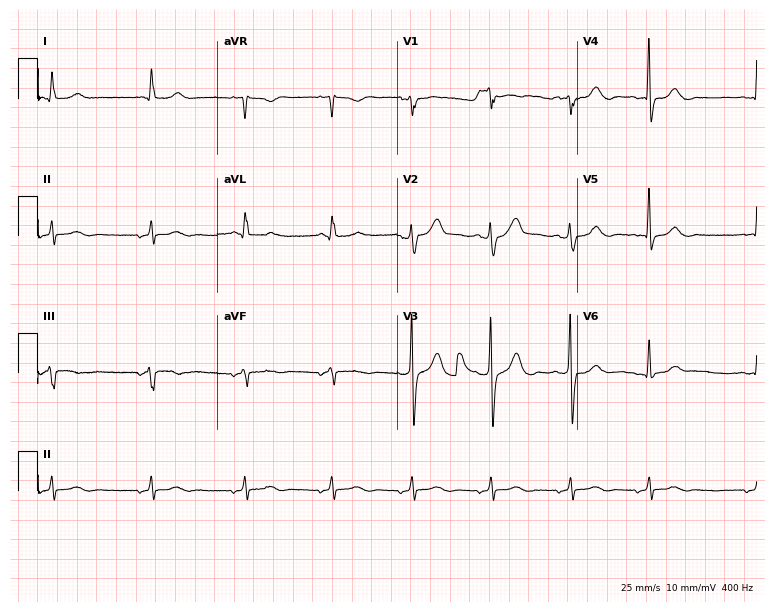
12-lead ECG from an 85-year-old male. No first-degree AV block, right bundle branch block, left bundle branch block, sinus bradycardia, atrial fibrillation or sinus tachycardia recorded for this tracing.